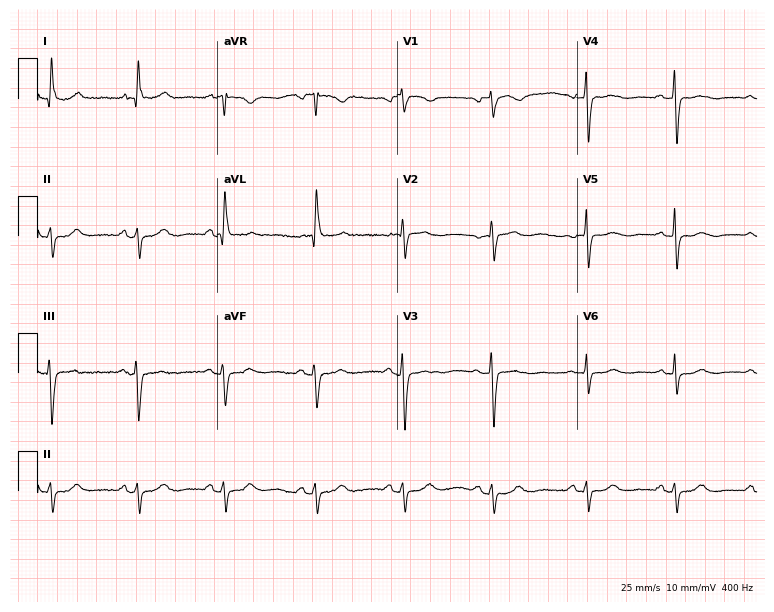
ECG — a female, 56 years old. Screened for six findings — first-degree AV block, right bundle branch block (RBBB), left bundle branch block (LBBB), sinus bradycardia, atrial fibrillation (AF), sinus tachycardia — none is recorded.